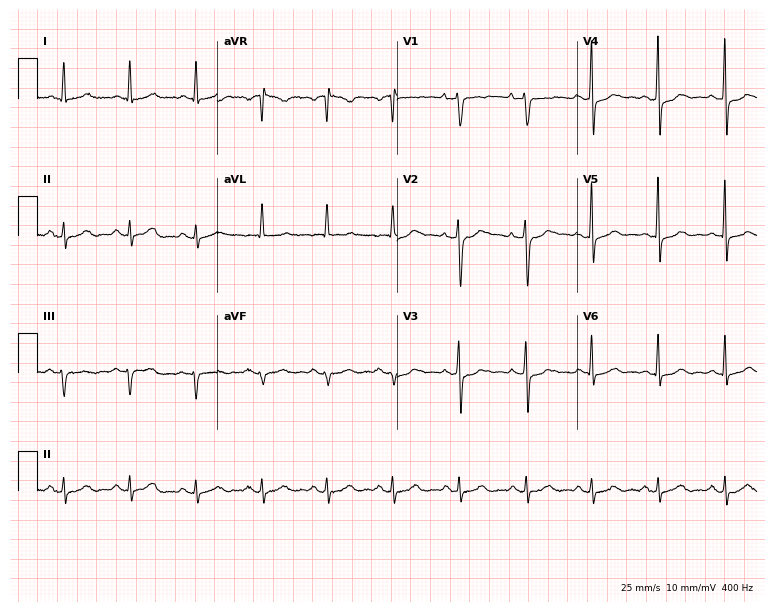
Electrocardiogram, a 65-year-old female patient. Overall reading on record: normal ECG.